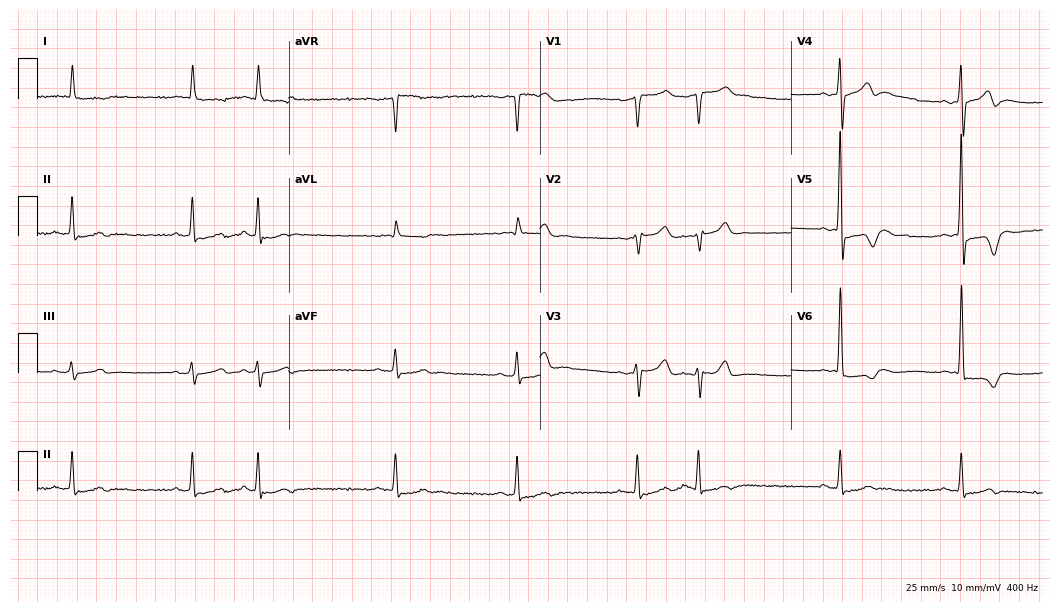
Electrocardiogram, a 73-year-old male. Of the six screened findings (first-degree AV block, right bundle branch block, left bundle branch block, sinus bradycardia, atrial fibrillation, sinus tachycardia), none is recorded.